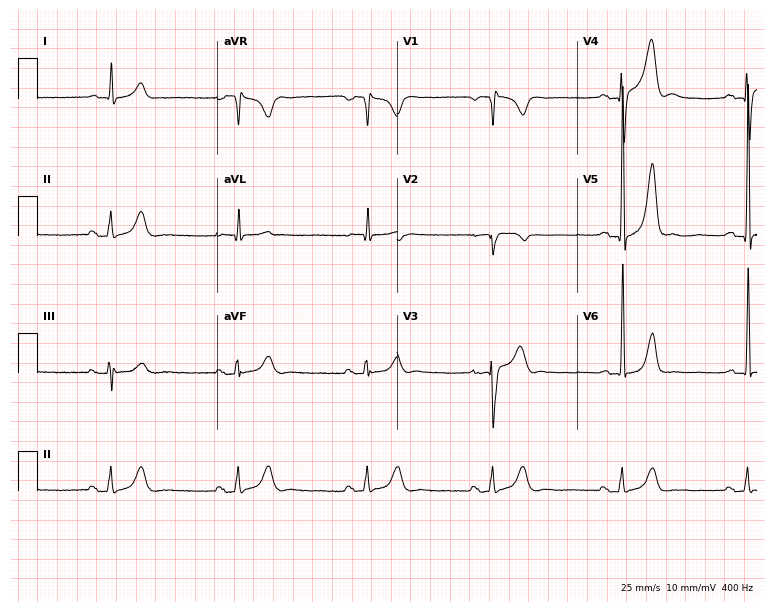
Standard 12-lead ECG recorded from a female, 74 years old (7.3-second recording at 400 Hz). The tracing shows sinus bradycardia (a sinus rate of 50 beats per minute or less).